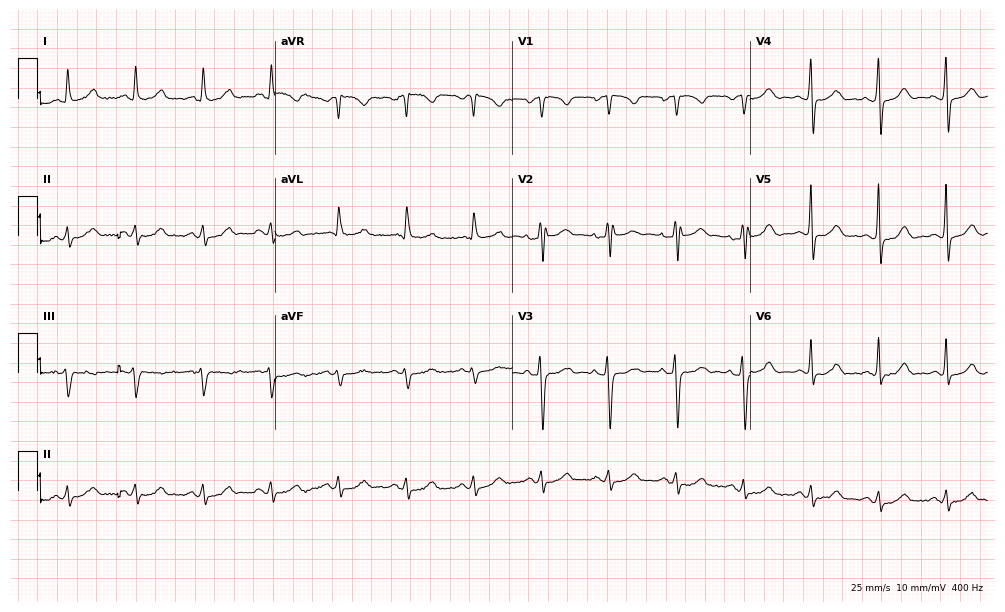
Standard 12-lead ECG recorded from a 65-year-old male patient. Read as a normal ECG.